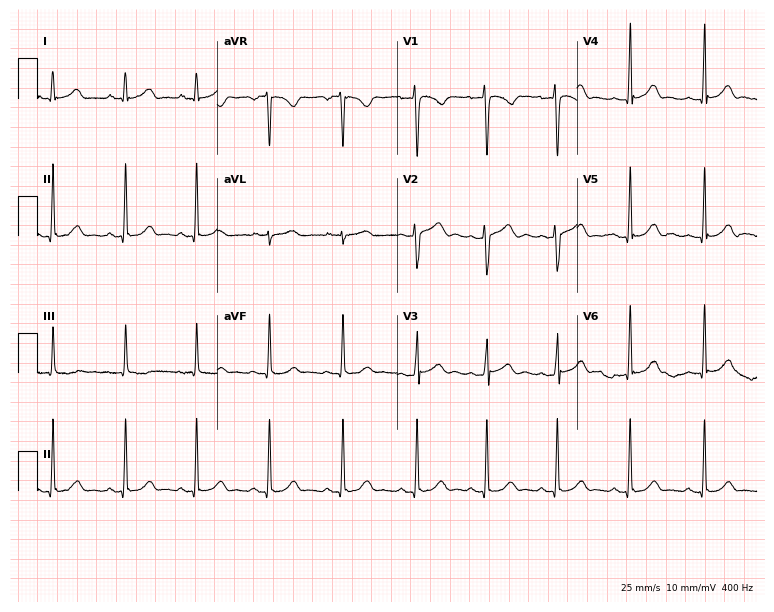
ECG (7.3-second recording at 400 Hz) — an 18-year-old female patient. Screened for six findings — first-degree AV block, right bundle branch block, left bundle branch block, sinus bradycardia, atrial fibrillation, sinus tachycardia — none is recorded.